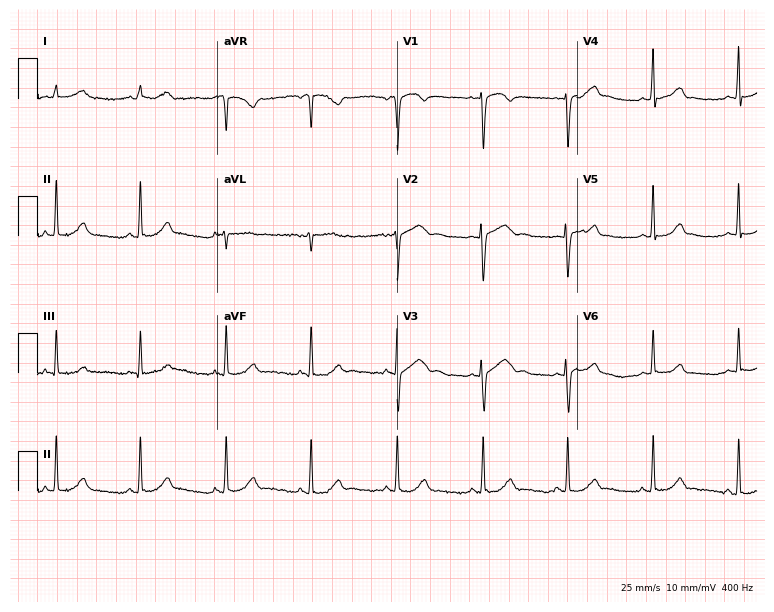
Electrocardiogram (7.3-second recording at 400 Hz), a woman, 37 years old. Overall reading on record: normal ECG.